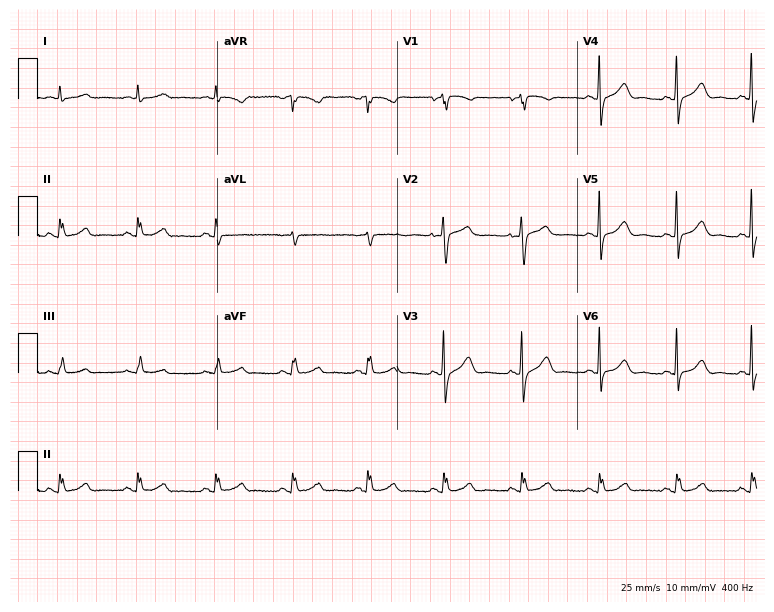
12-lead ECG (7.3-second recording at 400 Hz) from a female, 65 years old. Labelled as a normal ECG.